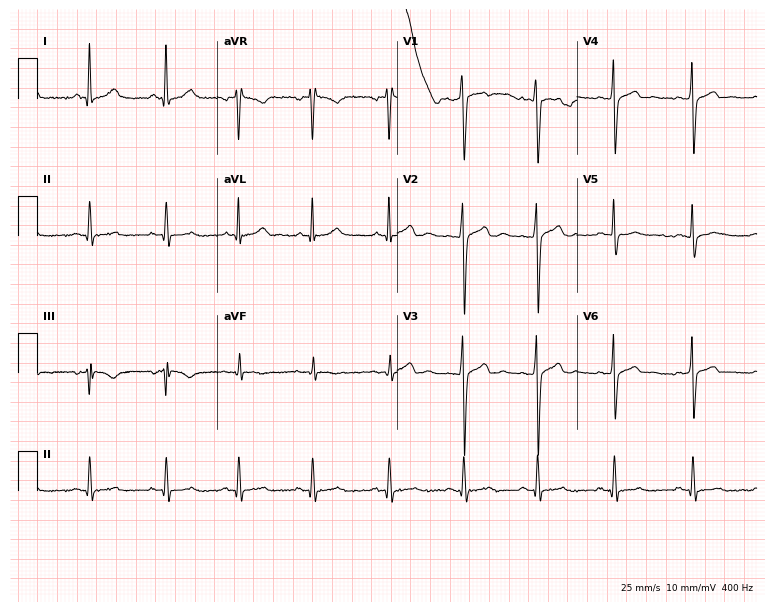
ECG — a man, 34 years old. Screened for six findings — first-degree AV block, right bundle branch block (RBBB), left bundle branch block (LBBB), sinus bradycardia, atrial fibrillation (AF), sinus tachycardia — none is recorded.